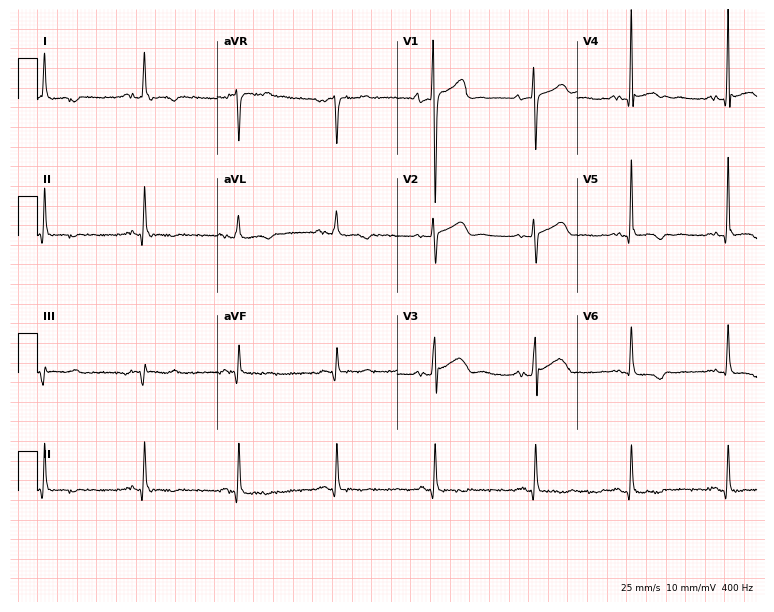
Resting 12-lead electrocardiogram. Patient: a male, 63 years old. None of these six findings is recorded: first-degree AV block, right bundle branch block (RBBB), left bundle branch block (LBBB), sinus bradycardia, atrial fibrillation (AF), sinus tachycardia. Findings outside these six are not listed.